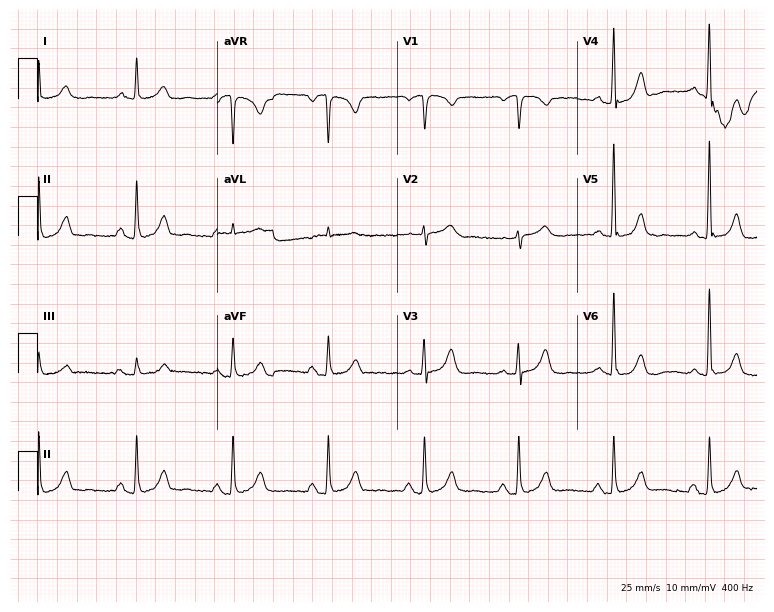
ECG (7.3-second recording at 400 Hz) — a man, 72 years old. Labelled as a normal ECG.